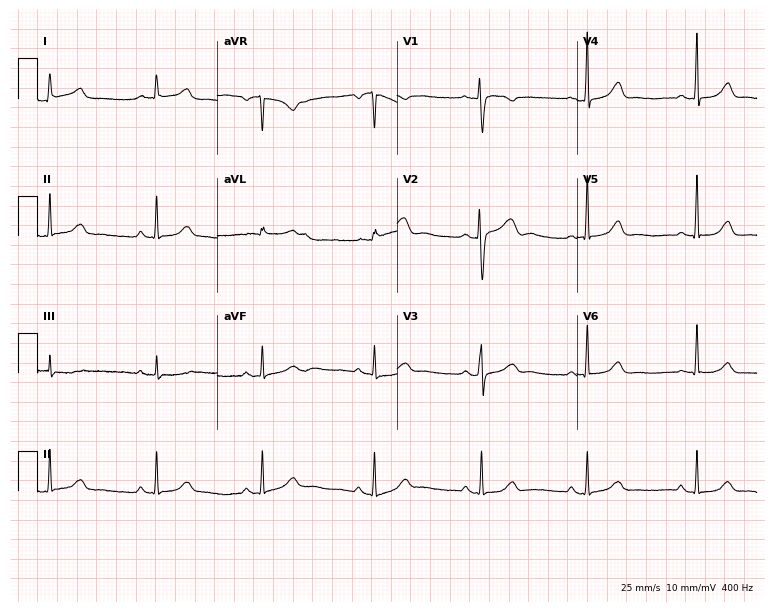
Electrocardiogram, a female, 53 years old. Overall reading on record: normal ECG.